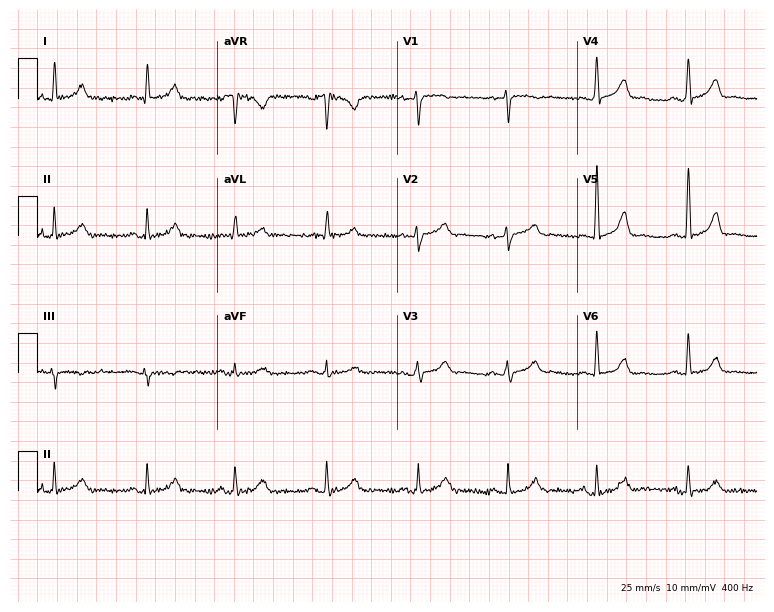
Standard 12-lead ECG recorded from a woman, 45 years old (7.3-second recording at 400 Hz). Read as a normal ECG.